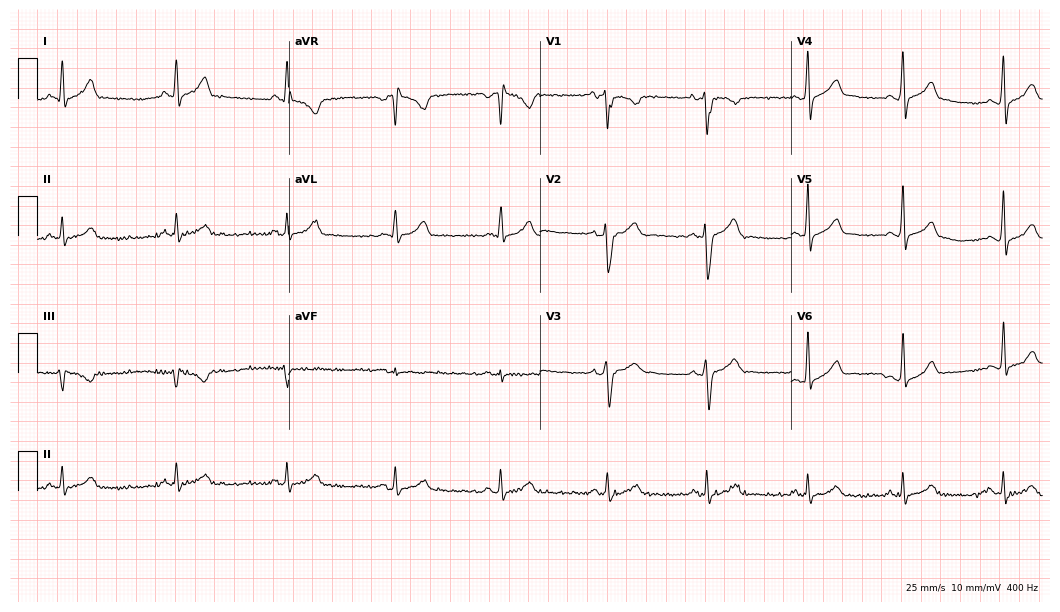
12-lead ECG from a 29-year-old man (10.2-second recording at 400 Hz). Recorded interpretation: within normal limits.